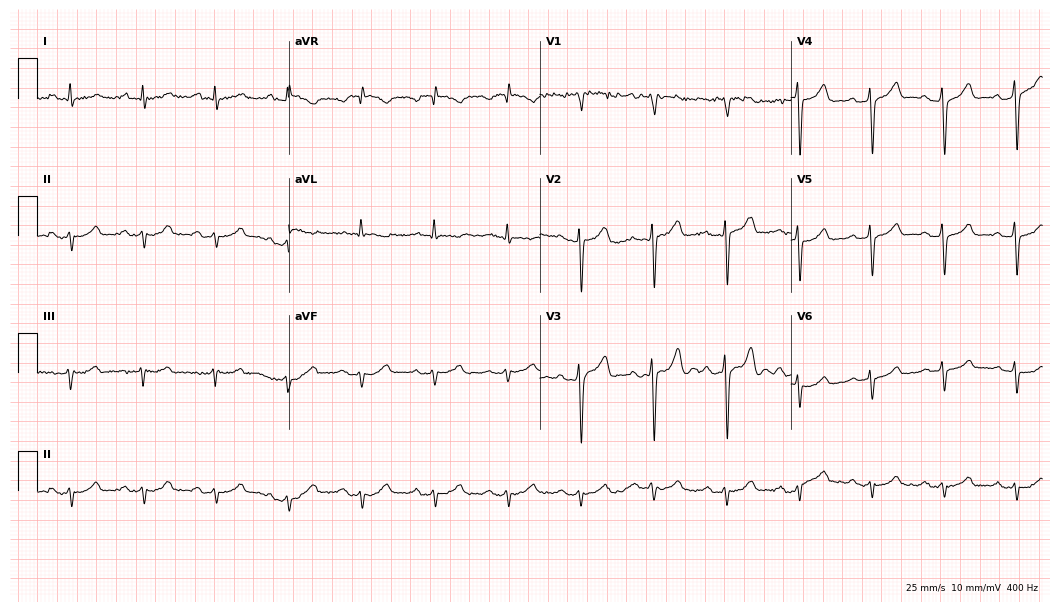
Standard 12-lead ECG recorded from a 55-year-old male. None of these six findings is recorded: first-degree AV block, right bundle branch block, left bundle branch block, sinus bradycardia, atrial fibrillation, sinus tachycardia.